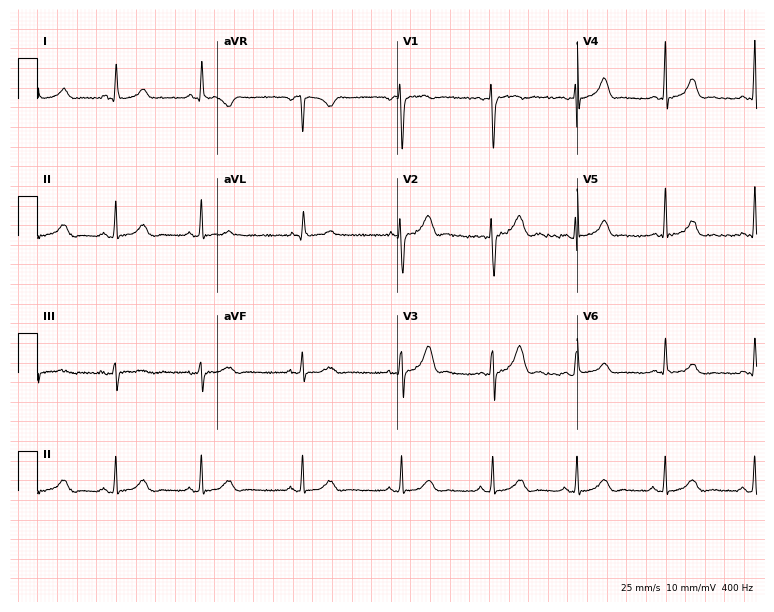
Standard 12-lead ECG recorded from a woman, 28 years old. Read as a normal ECG.